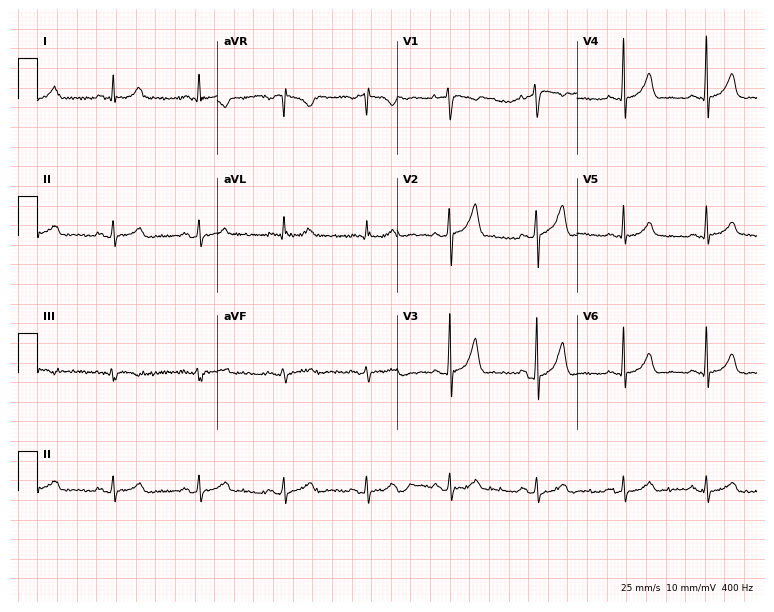
Resting 12-lead electrocardiogram (7.3-second recording at 400 Hz). Patient: a 37-year-old female. Read as a normal ECG.